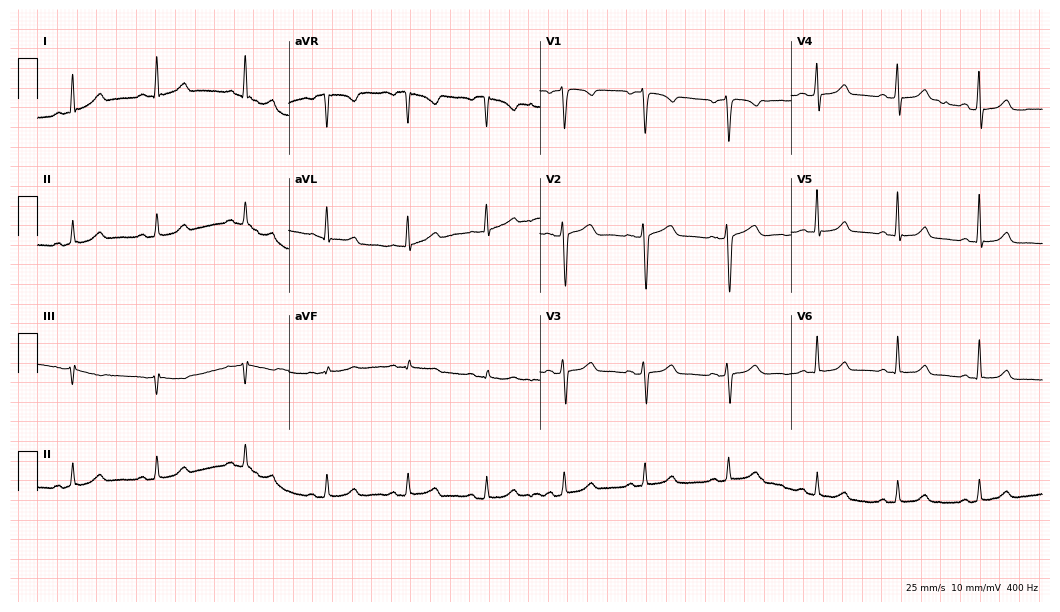
Resting 12-lead electrocardiogram. Patient: a woman, 41 years old. Read as a normal ECG.